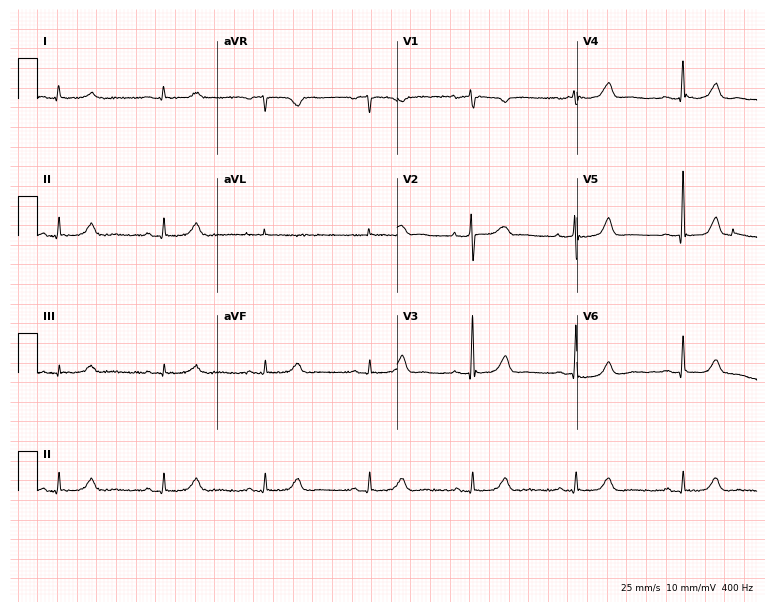
Resting 12-lead electrocardiogram. Patient: a 76-year-old woman. Read as a normal ECG.